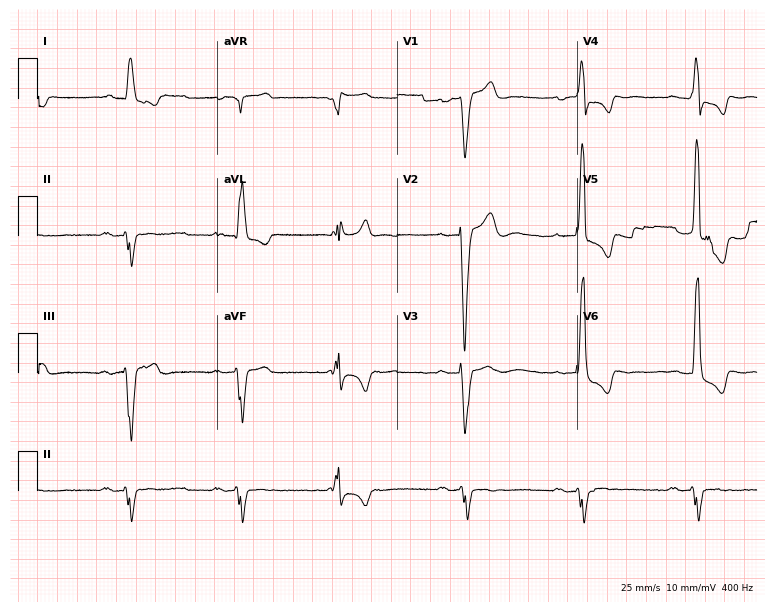
Electrocardiogram (7.3-second recording at 400 Hz), a 75-year-old male patient. Interpretation includes first-degree AV block.